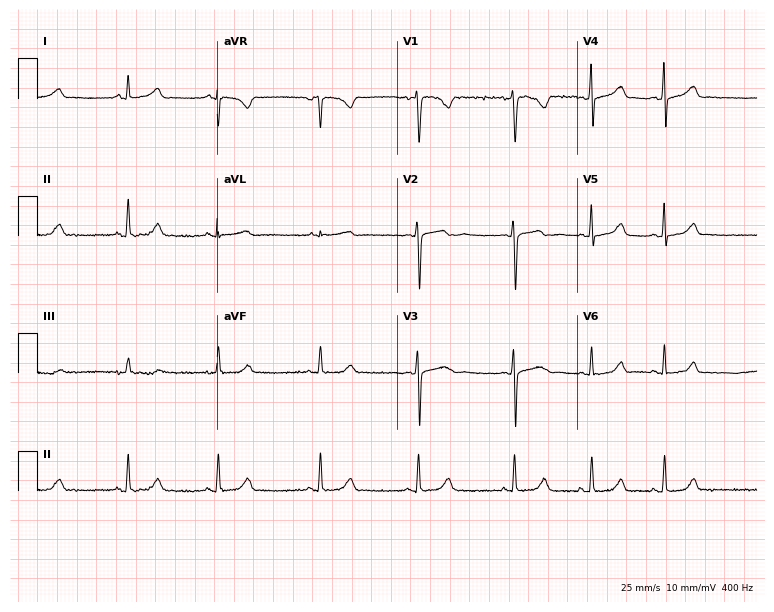
12-lead ECG from a woman, 19 years old. Labelled as a normal ECG.